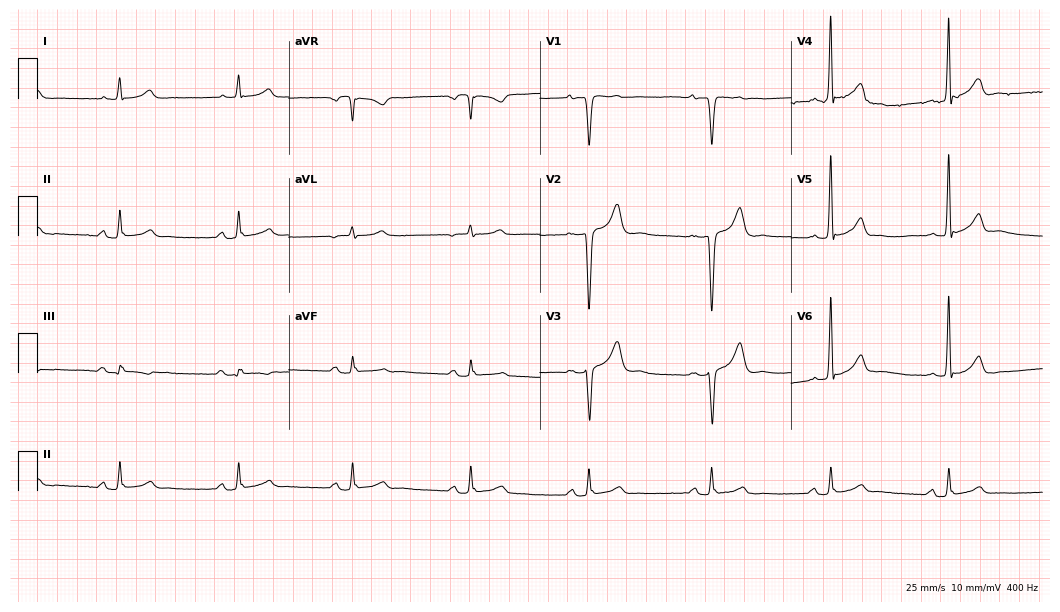
ECG — a 74-year-old male patient. Screened for six findings — first-degree AV block, right bundle branch block, left bundle branch block, sinus bradycardia, atrial fibrillation, sinus tachycardia — none is recorded.